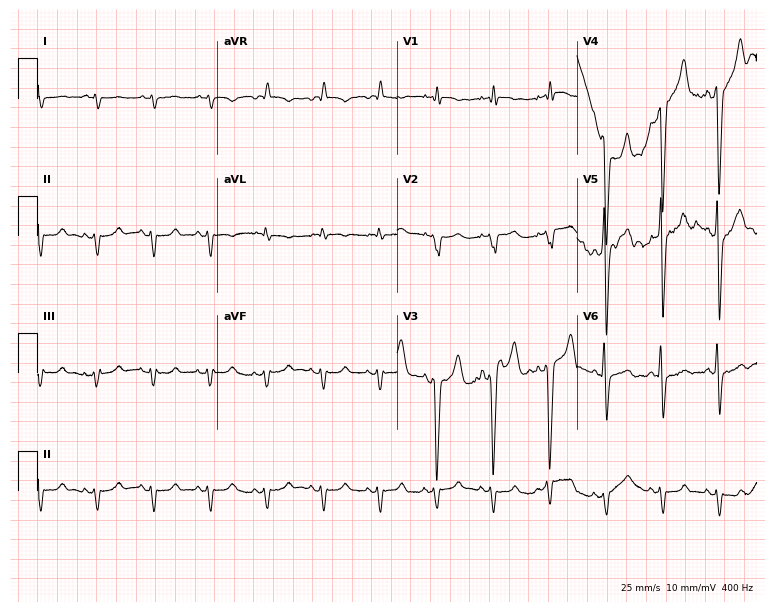
Standard 12-lead ECG recorded from a male patient, 80 years old. The tracing shows sinus tachycardia (a sinus rate of 100 beats per minute or more).